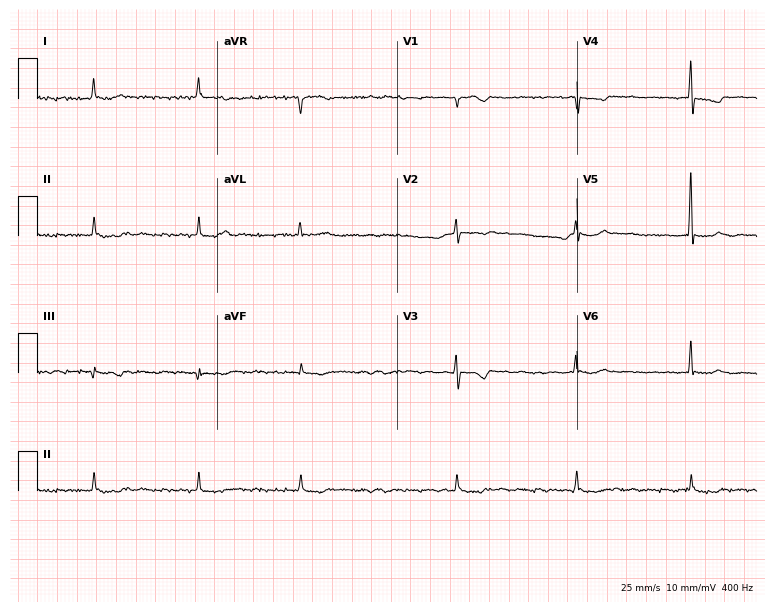
Standard 12-lead ECG recorded from a female, 76 years old (7.3-second recording at 400 Hz). The tracing shows atrial fibrillation (AF).